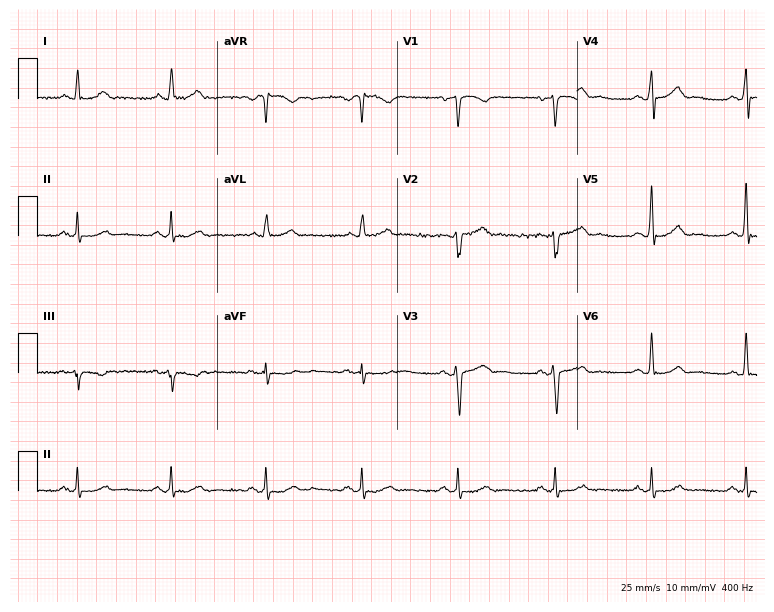
12-lead ECG (7.3-second recording at 400 Hz) from a 58-year-old man. Screened for six findings — first-degree AV block, right bundle branch block, left bundle branch block, sinus bradycardia, atrial fibrillation, sinus tachycardia — none is recorded.